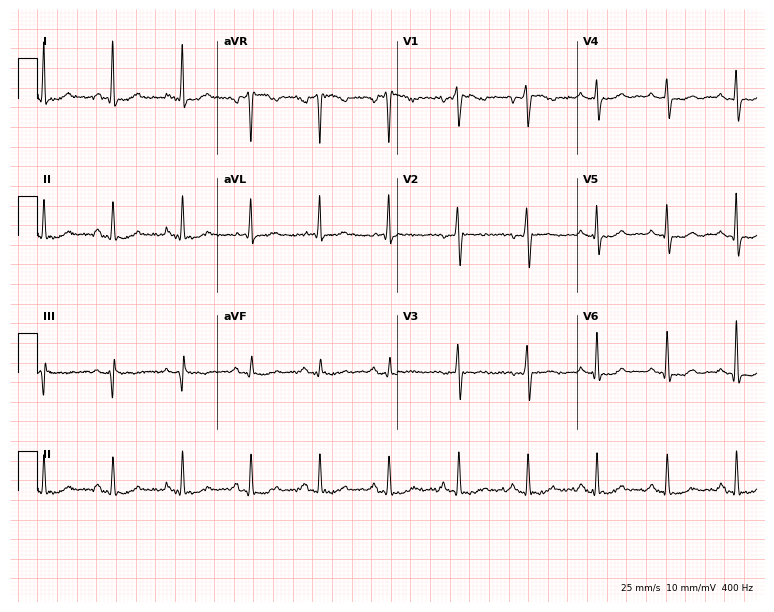
12-lead ECG from a female patient, 45 years old. No first-degree AV block, right bundle branch block (RBBB), left bundle branch block (LBBB), sinus bradycardia, atrial fibrillation (AF) or sinus tachycardia recorded for this tracing.